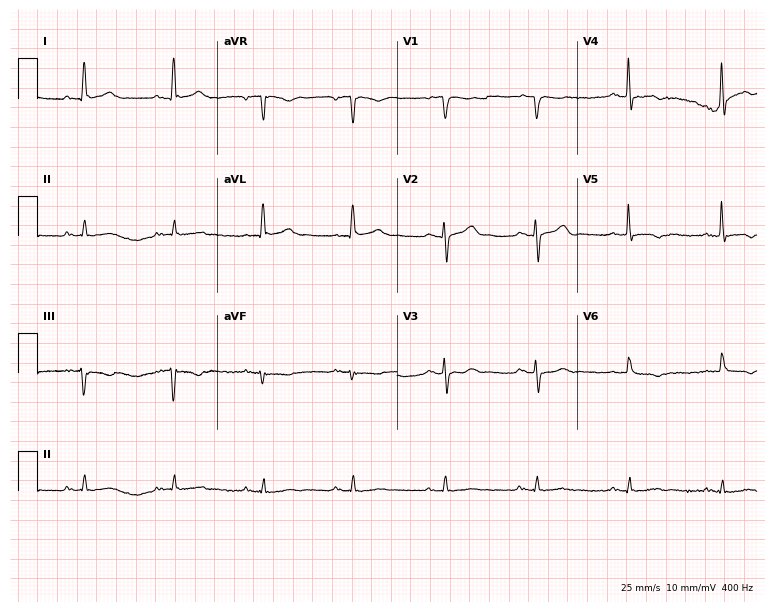
ECG — a man, 80 years old. Screened for six findings — first-degree AV block, right bundle branch block, left bundle branch block, sinus bradycardia, atrial fibrillation, sinus tachycardia — none is recorded. Only these six findings were labelled.